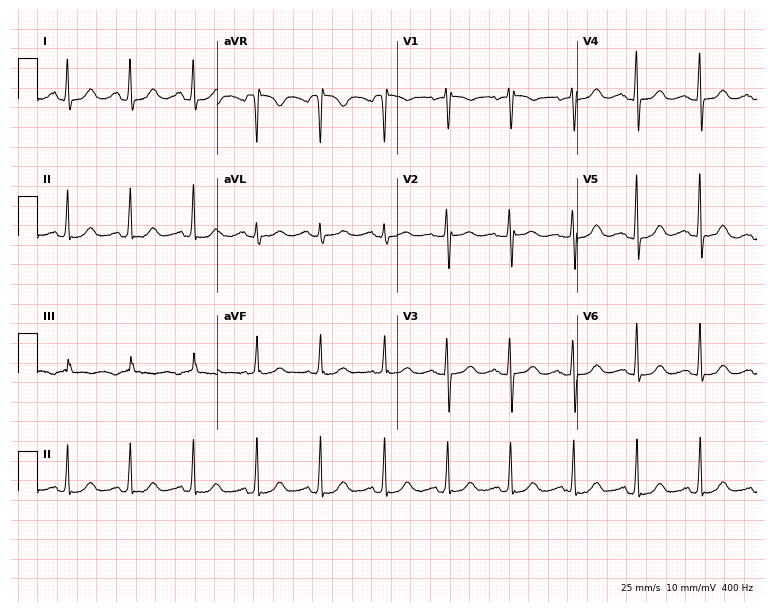
ECG — a female patient, 71 years old. Labelled as a normal ECG.